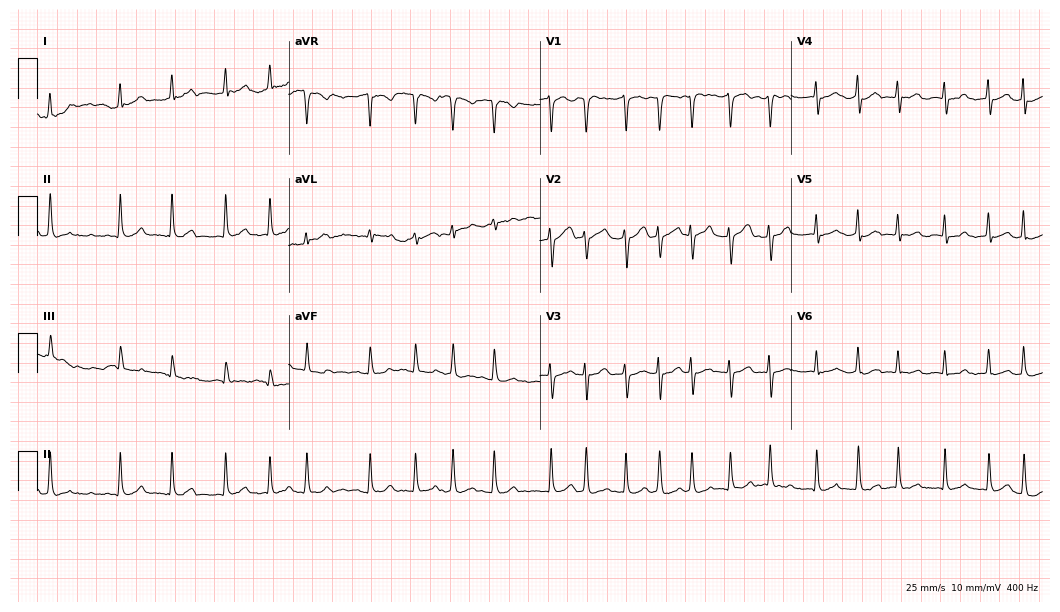
12-lead ECG from a female patient, 65 years old. Findings include atrial fibrillation.